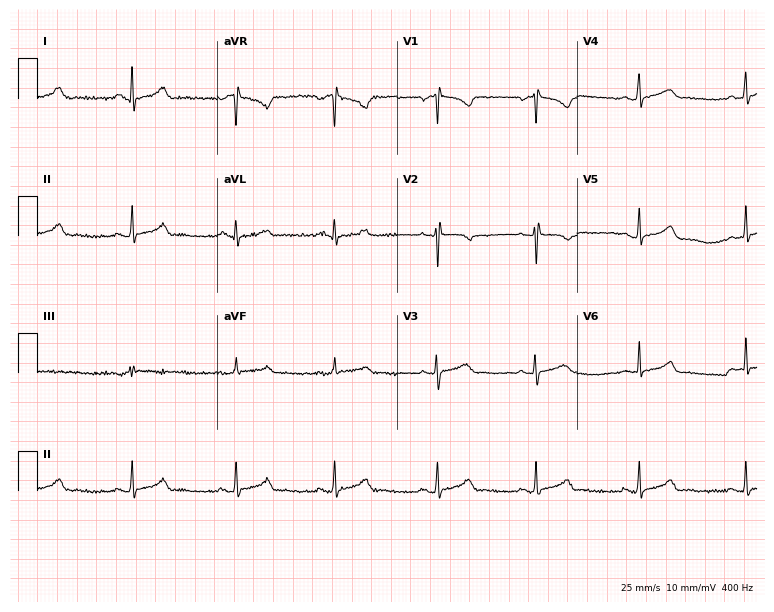
12-lead ECG from a 23-year-old woman. Labelled as a normal ECG.